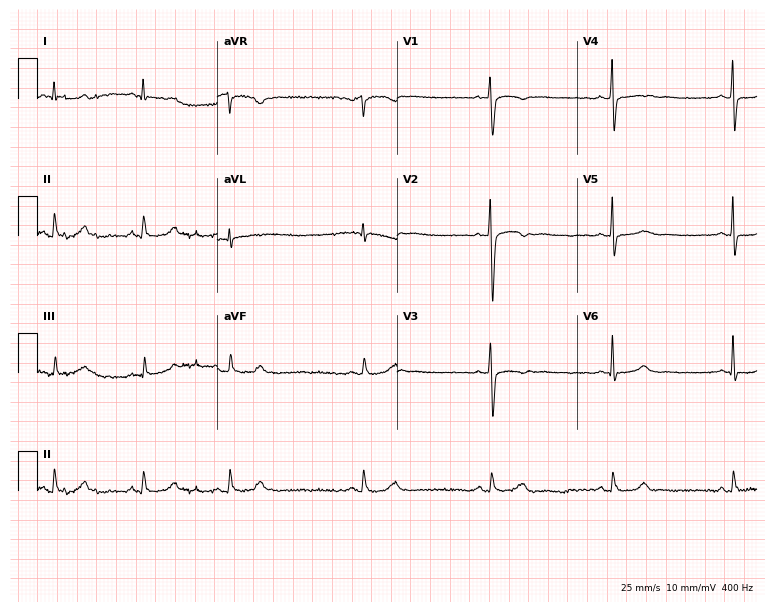
12-lead ECG from a female patient, 32 years old. Labelled as a normal ECG.